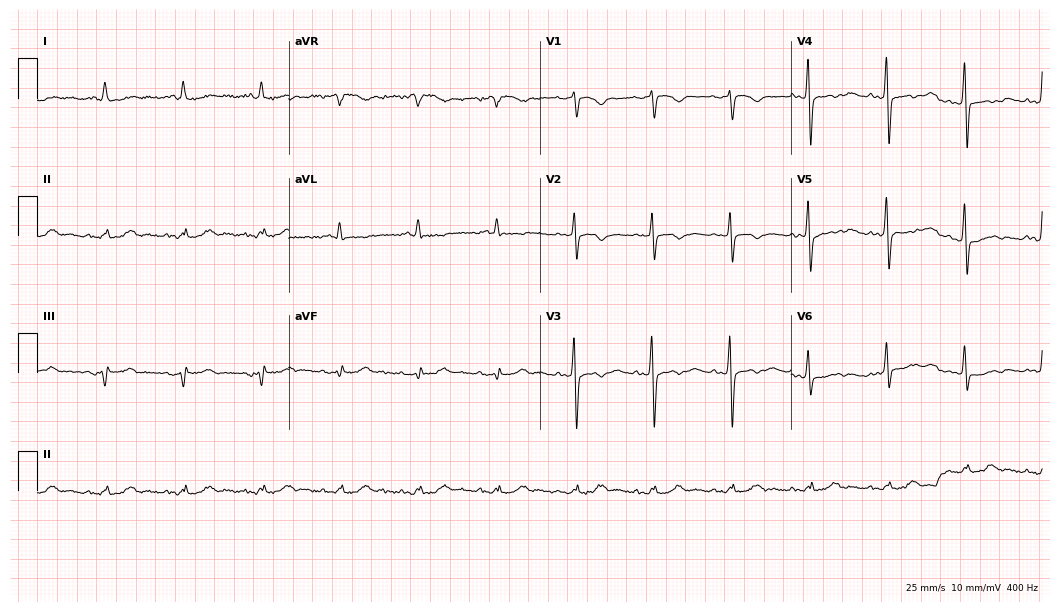
Electrocardiogram (10.2-second recording at 400 Hz), a male patient, 78 years old. Of the six screened findings (first-degree AV block, right bundle branch block, left bundle branch block, sinus bradycardia, atrial fibrillation, sinus tachycardia), none is recorded. Other findings, if any, are not listed.